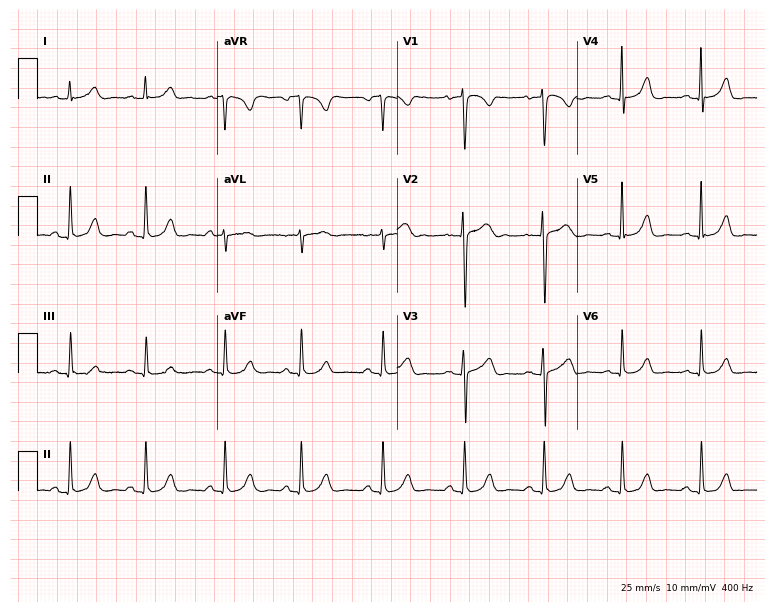
Resting 12-lead electrocardiogram. Patient: a 27-year-old female. Read as a normal ECG.